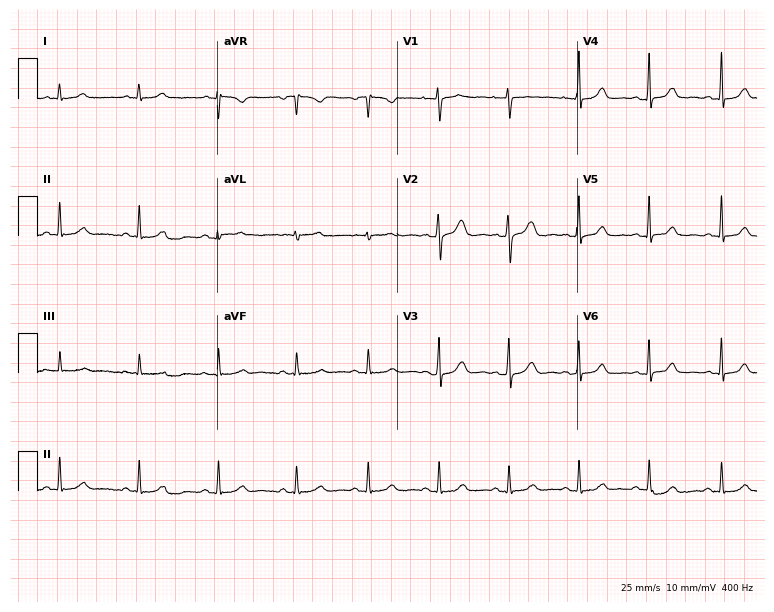
Electrocardiogram (7.3-second recording at 400 Hz), a 31-year-old woman. Overall reading on record: normal ECG.